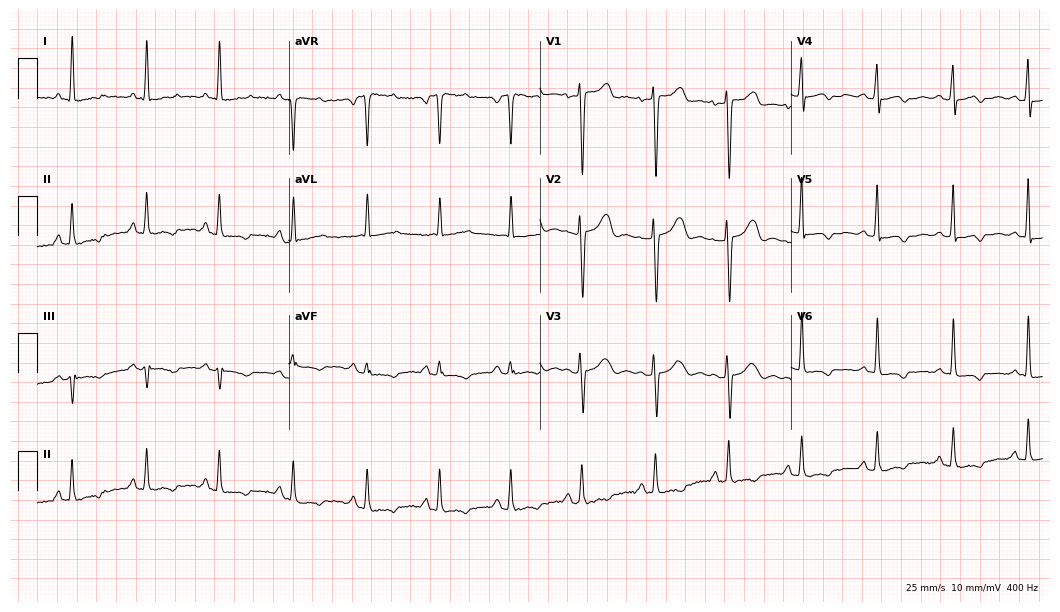
Electrocardiogram (10.2-second recording at 400 Hz), a female, 50 years old. Of the six screened findings (first-degree AV block, right bundle branch block (RBBB), left bundle branch block (LBBB), sinus bradycardia, atrial fibrillation (AF), sinus tachycardia), none is recorded.